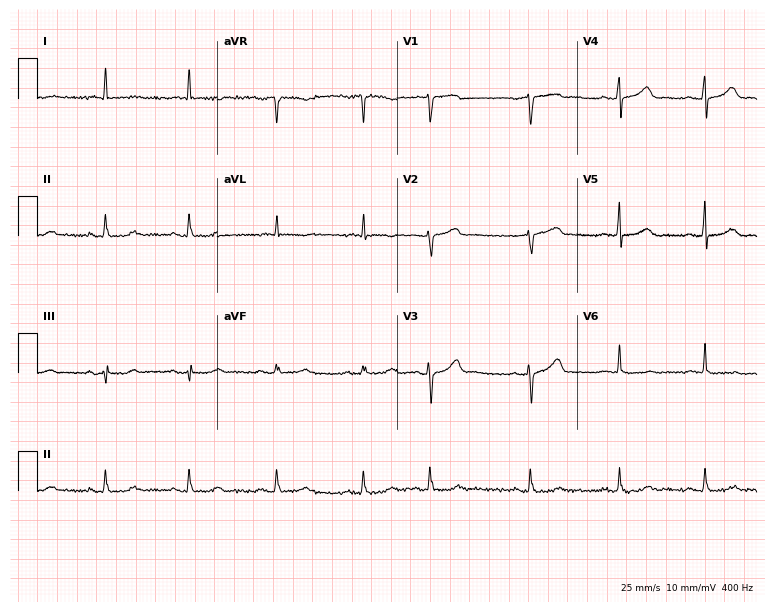
Resting 12-lead electrocardiogram. Patient: an 83-year-old woman. None of these six findings is recorded: first-degree AV block, right bundle branch block, left bundle branch block, sinus bradycardia, atrial fibrillation, sinus tachycardia. Other findings, if any, are not listed.